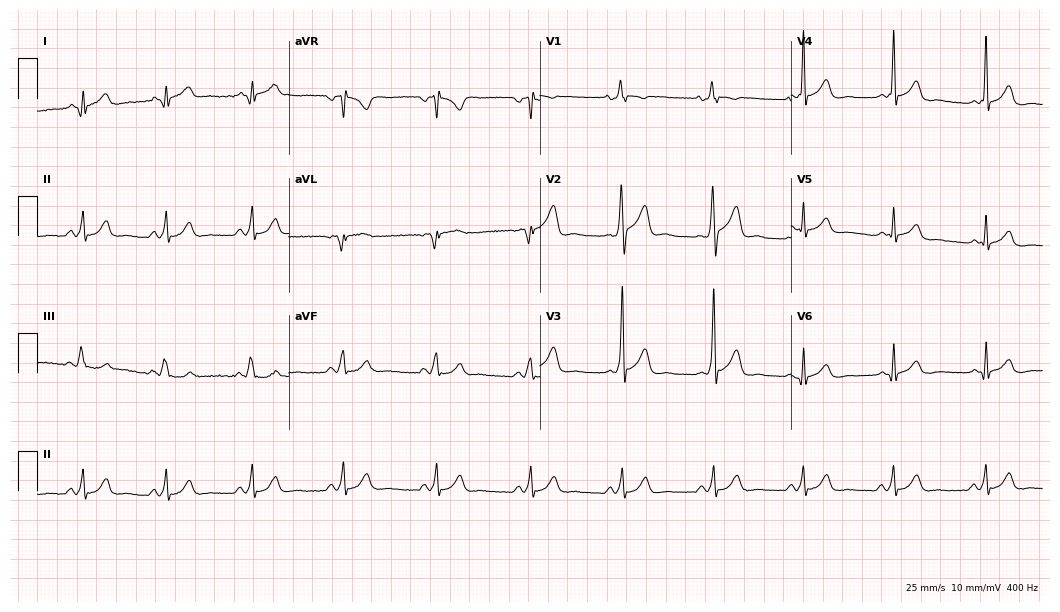
Resting 12-lead electrocardiogram. Patient: a 48-year-old man. Read as a normal ECG.